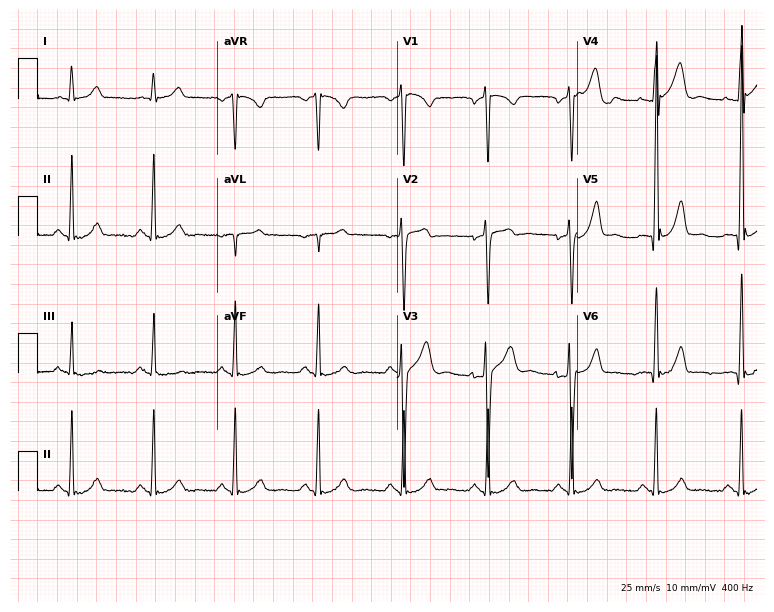
Resting 12-lead electrocardiogram (7.3-second recording at 400 Hz). Patient: a male, 46 years old. None of these six findings is recorded: first-degree AV block, right bundle branch block, left bundle branch block, sinus bradycardia, atrial fibrillation, sinus tachycardia.